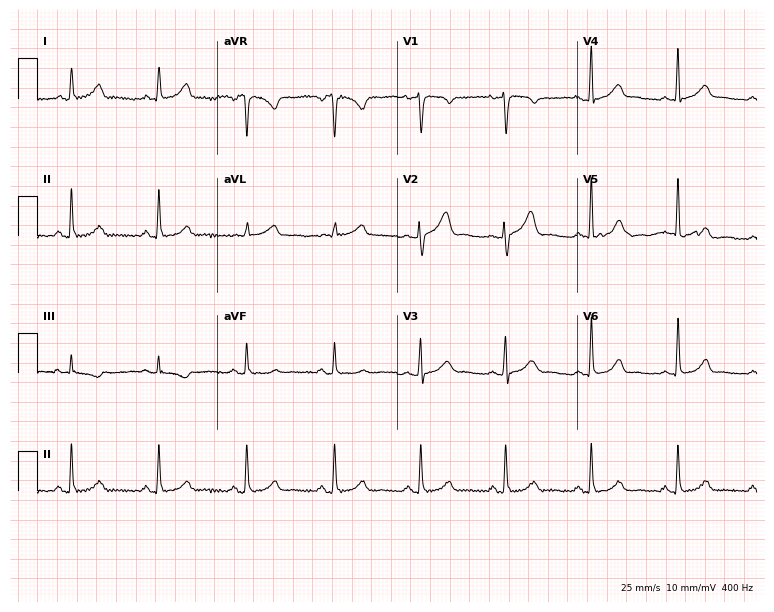
Electrocardiogram, a woman, 46 years old. Of the six screened findings (first-degree AV block, right bundle branch block, left bundle branch block, sinus bradycardia, atrial fibrillation, sinus tachycardia), none is recorded. Findings outside these six are not listed.